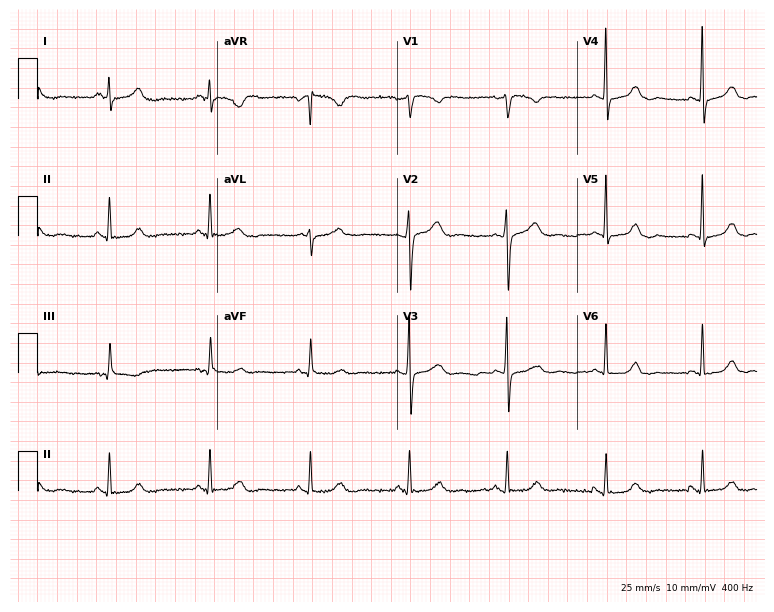
12-lead ECG from a woman, 50 years old. Recorded interpretation: within normal limits.